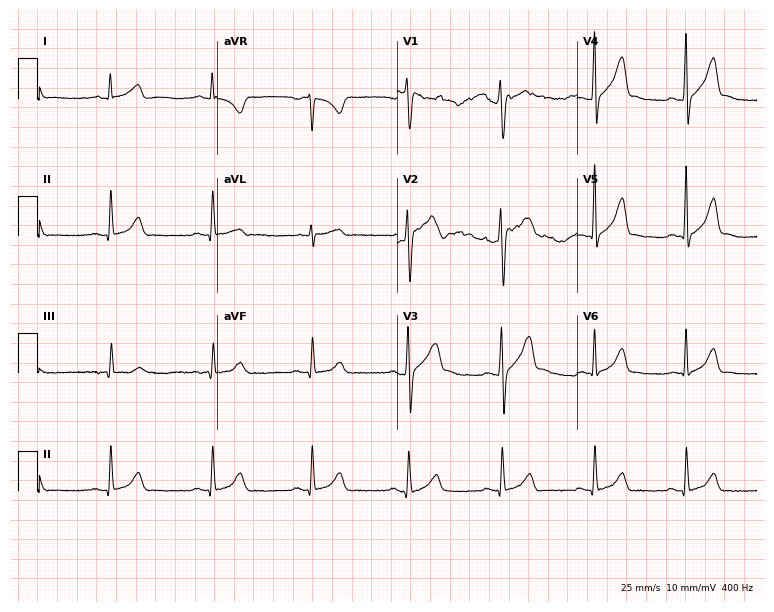
ECG — a male patient, 25 years old. Labelled as a normal ECG.